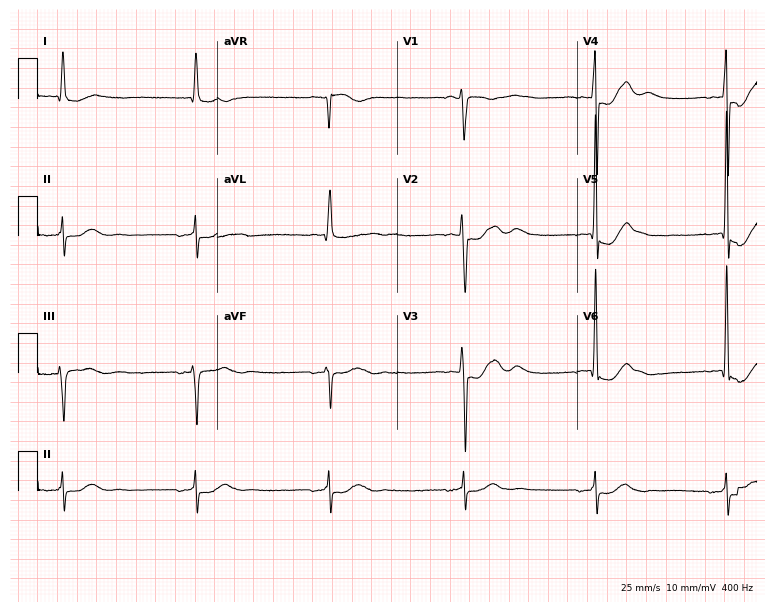
Standard 12-lead ECG recorded from a woman, 66 years old. The tracing shows sinus bradycardia (a sinus rate of 50 beats per minute or less).